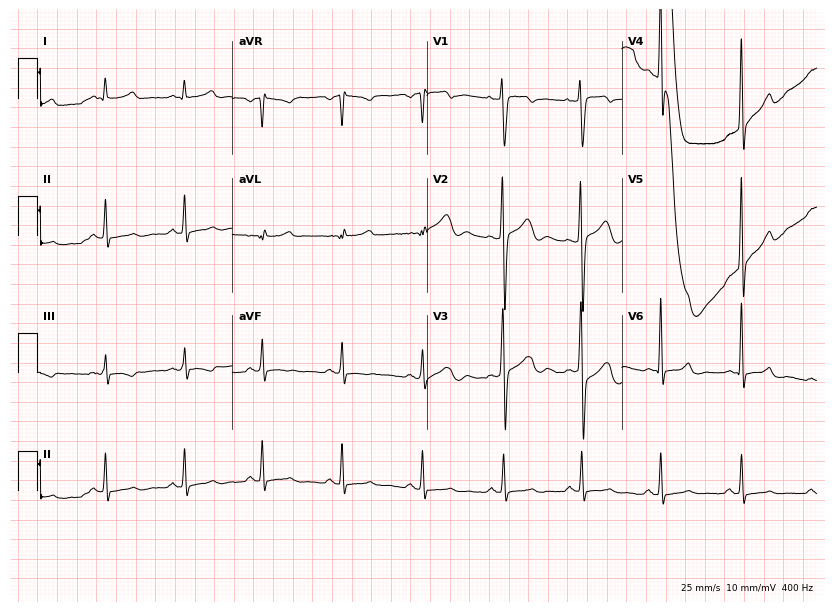
12-lead ECG from a 38-year-old woman (7.9-second recording at 400 Hz). Recorded interpretation: within normal limits.